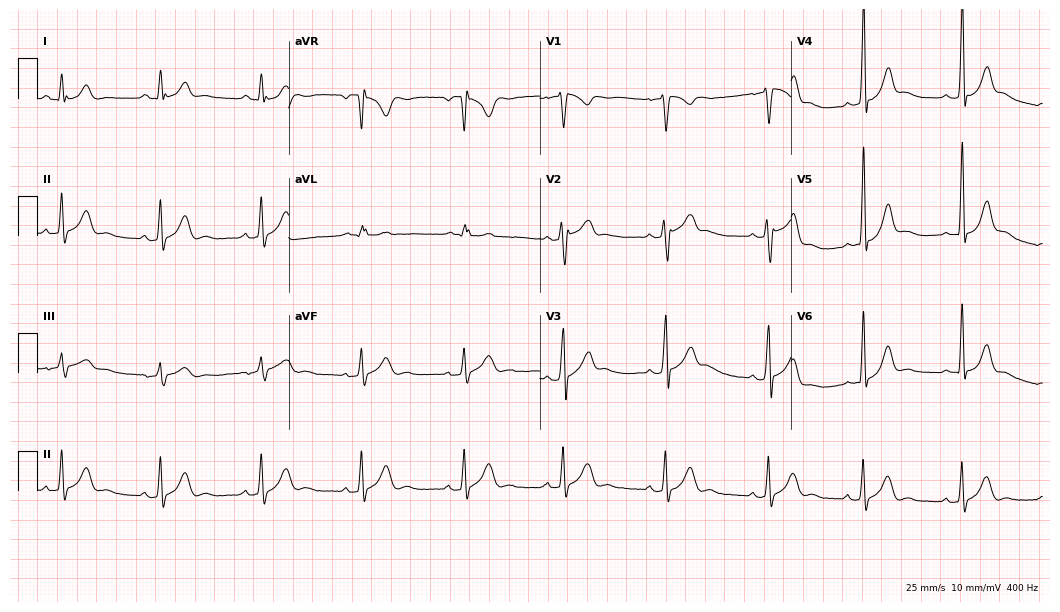
12-lead ECG from a 22-year-old man. Screened for six findings — first-degree AV block, right bundle branch block (RBBB), left bundle branch block (LBBB), sinus bradycardia, atrial fibrillation (AF), sinus tachycardia — none is recorded.